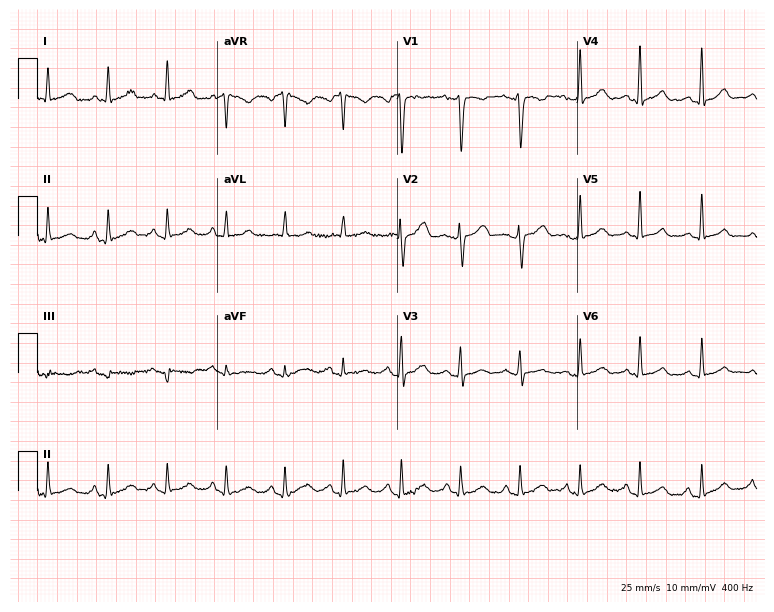
ECG — a female, 43 years old. Screened for six findings — first-degree AV block, right bundle branch block (RBBB), left bundle branch block (LBBB), sinus bradycardia, atrial fibrillation (AF), sinus tachycardia — none is recorded.